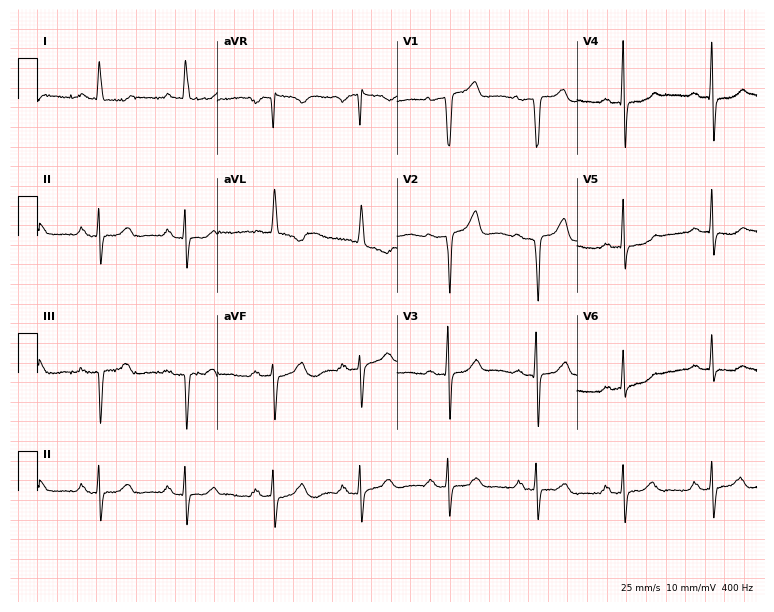
ECG — a male patient, 82 years old. Findings include first-degree AV block.